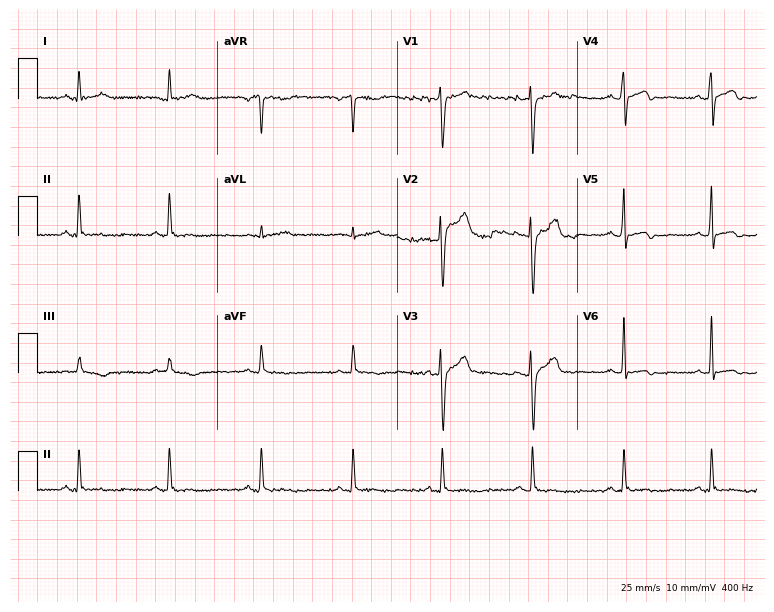
Electrocardiogram (7.3-second recording at 400 Hz), a 37-year-old male. Of the six screened findings (first-degree AV block, right bundle branch block (RBBB), left bundle branch block (LBBB), sinus bradycardia, atrial fibrillation (AF), sinus tachycardia), none is recorded.